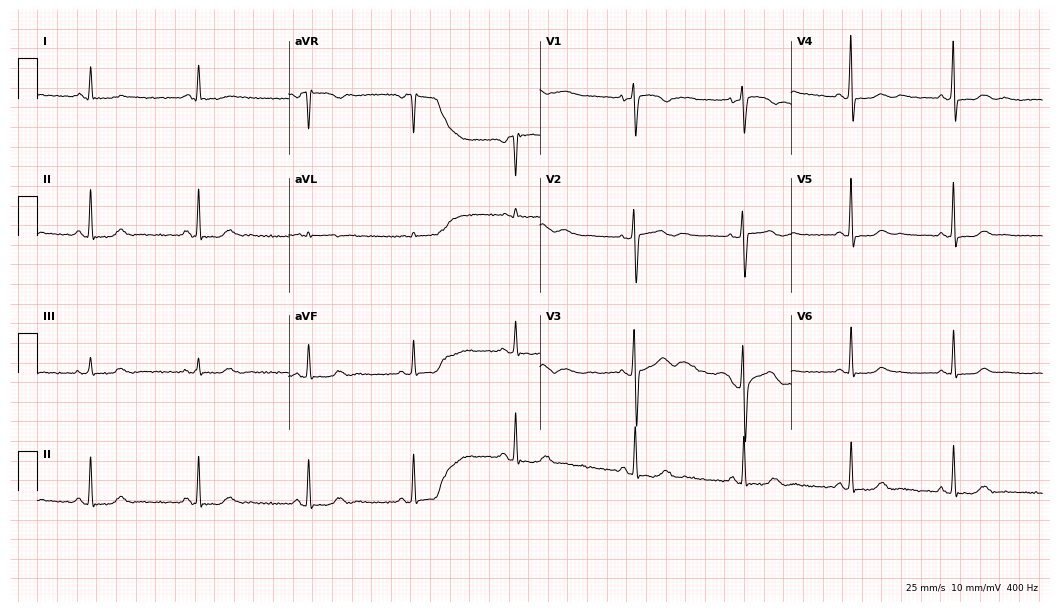
12-lead ECG from a female, 52 years old (10.2-second recording at 400 Hz). No first-degree AV block, right bundle branch block (RBBB), left bundle branch block (LBBB), sinus bradycardia, atrial fibrillation (AF) or sinus tachycardia recorded for this tracing.